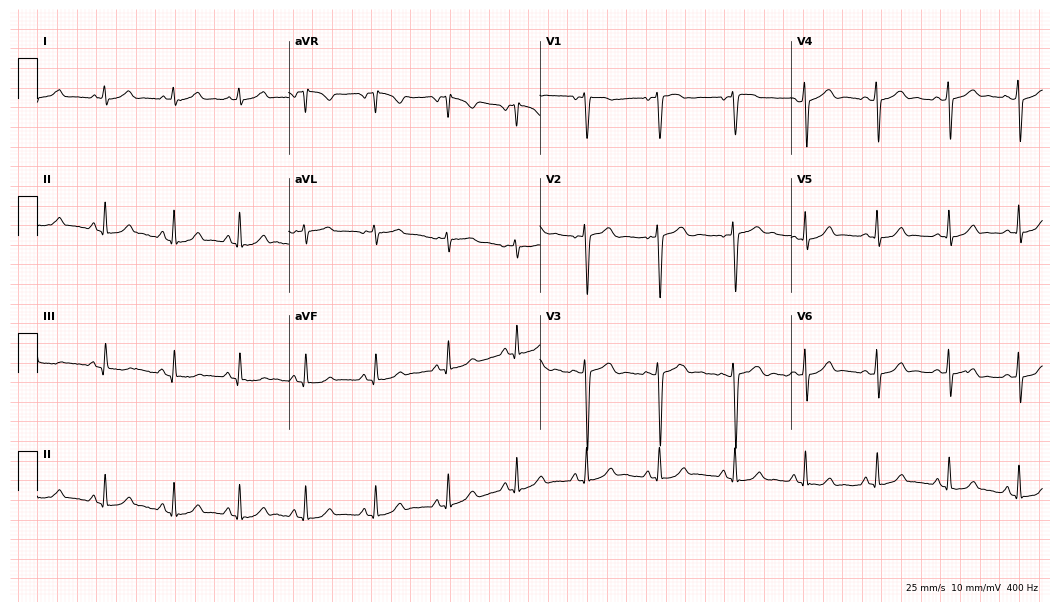
12-lead ECG (10.2-second recording at 400 Hz) from a female, 26 years old. Labelled as a normal ECG.